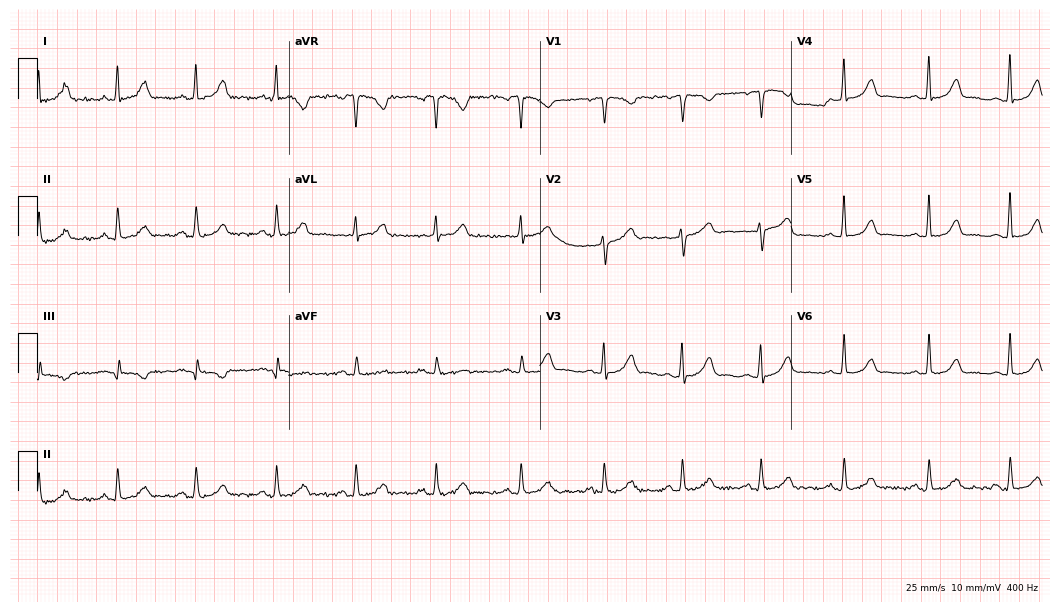
Resting 12-lead electrocardiogram. Patient: a 38-year-old female. Read as a normal ECG.